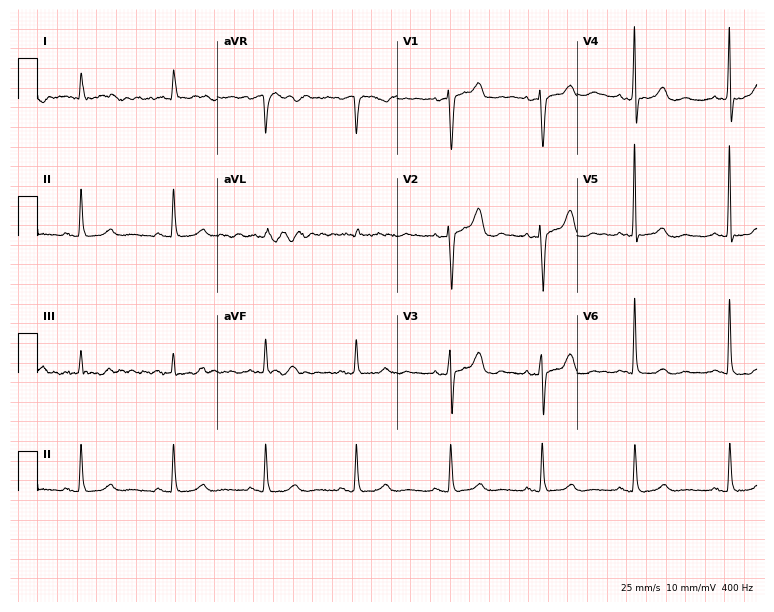
ECG — a woman, 77 years old. Labelled as a normal ECG.